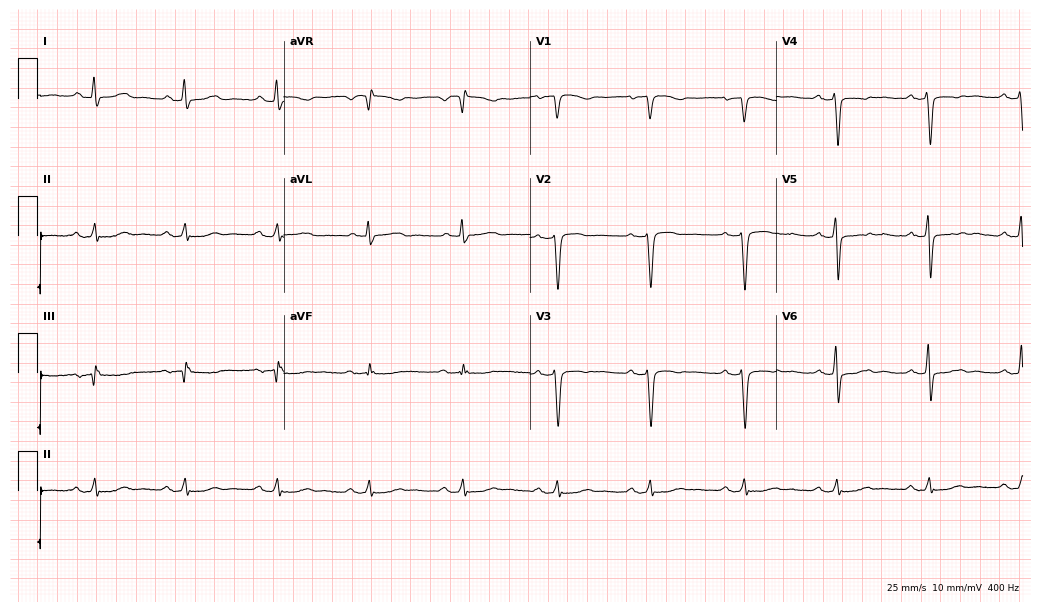
Electrocardiogram, a woman, 69 years old. Of the six screened findings (first-degree AV block, right bundle branch block (RBBB), left bundle branch block (LBBB), sinus bradycardia, atrial fibrillation (AF), sinus tachycardia), none is recorded. Only these six findings were labelled.